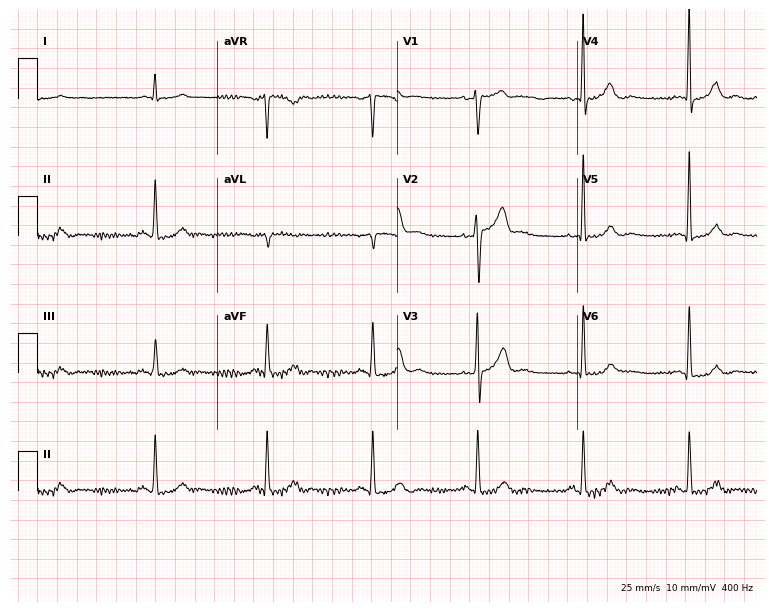
12-lead ECG from an 84-year-old male (7.3-second recording at 400 Hz). No first-degree AV block, right bundle branch block, left bundle branch block, sinus bradycardia, atrial fibrillation or sinus tachycardia recorded for this tracing.